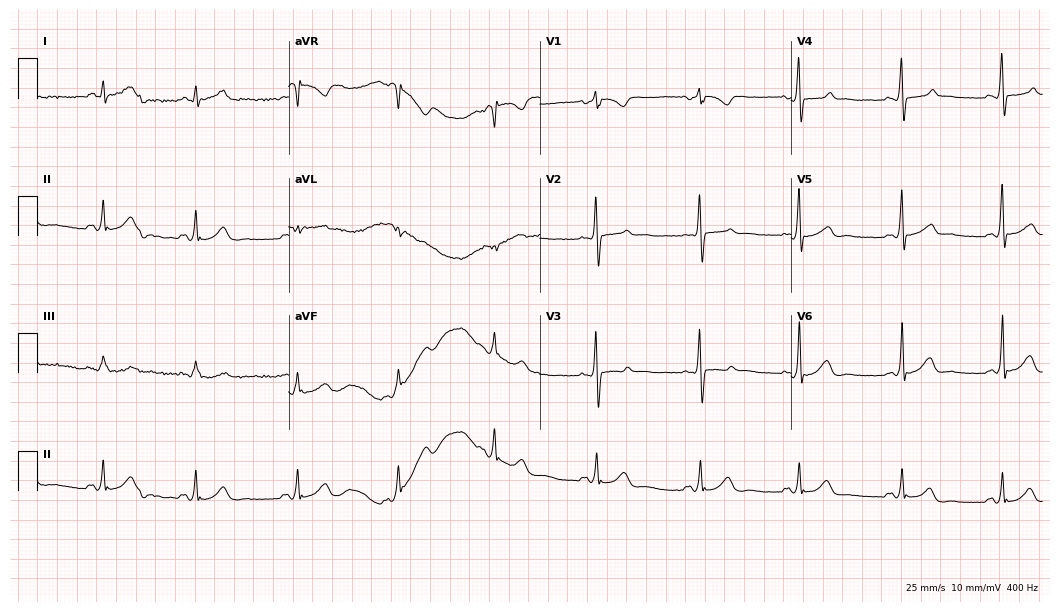
12-lead ECG from a 39-year-old woman (10.2-second recording at 400 Hz). Recorded interpretation: within normal limits.